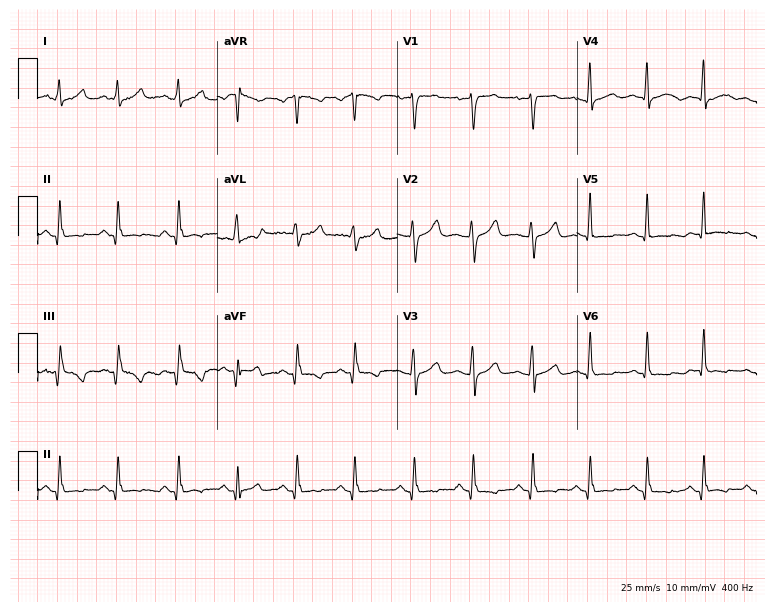
12-lead ECG (7.3-second recording at 400 Hz) from a 54-year-old male patient. Findings include sinus tachycardia (a sinus rate of 100 beats per minute or more).